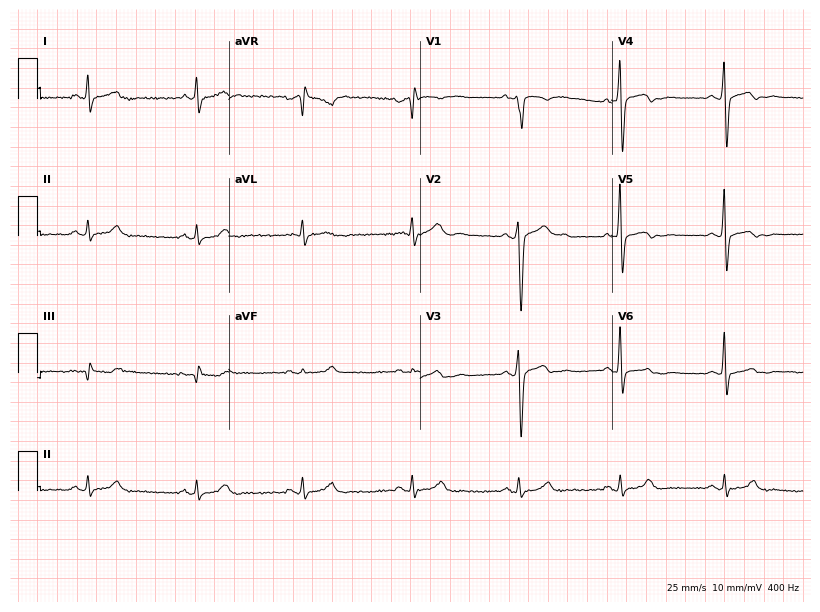
Resting 12-lead electrocardiogram (7.8-second recording at 400 Hz). Patient: a male, 38 years old. None of these six findings is recorded: first-degree AV block, right bundle branch block, left bundle branch block, sinus bradycardia, atrial fibrillation, sinus tachycardia.